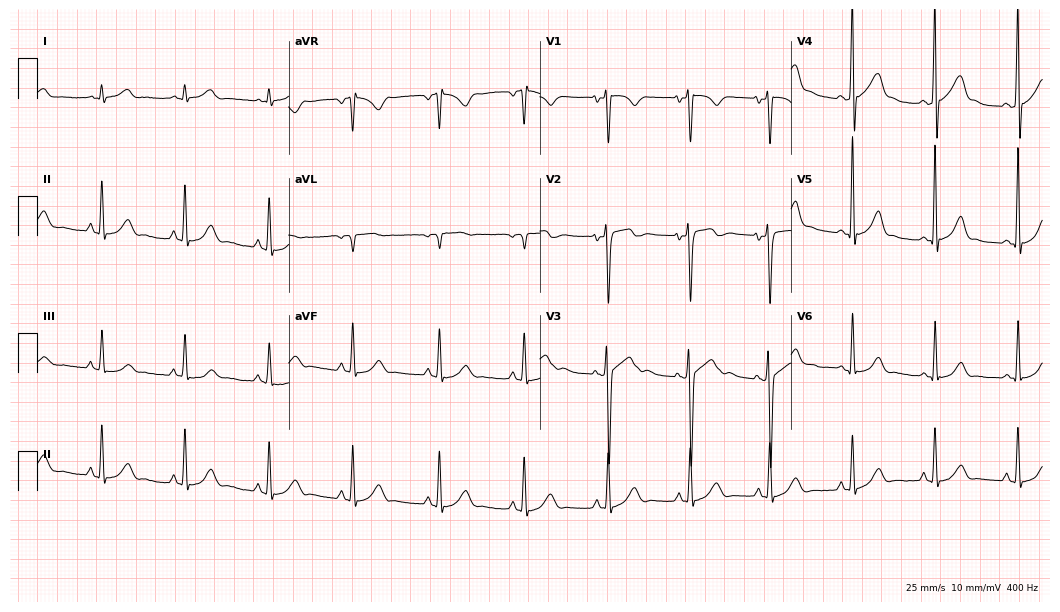
ECG (10.2-second recording at 400 Hz) — a 22-year-old man. Labelled as a normal ECG.